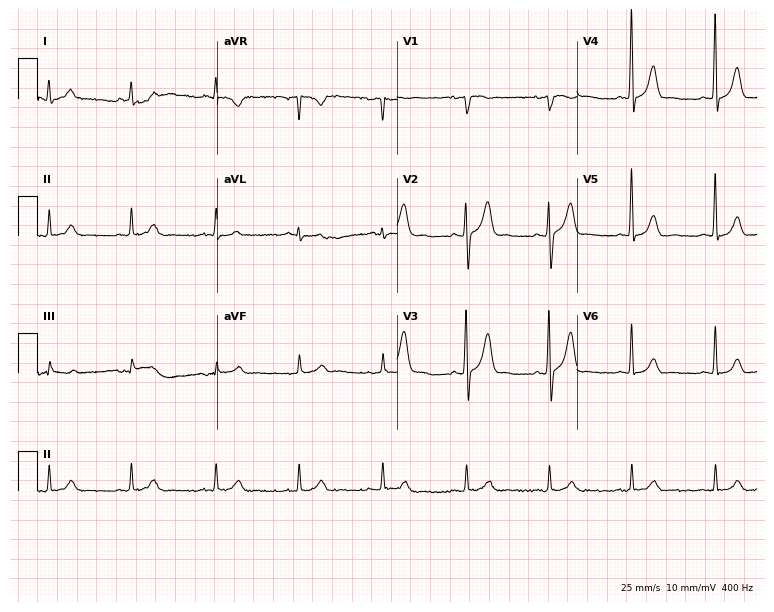
ECG (7.3-second recording at 400 Hz) — a 58-year-old male. Labelled as a normal ECG.